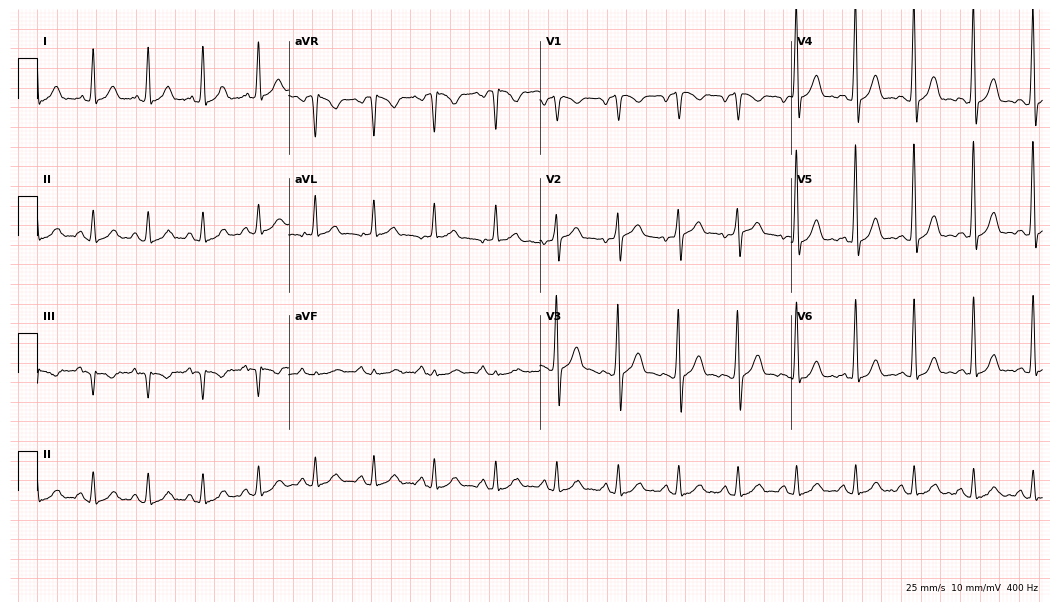
ECG (10.2-second recording at 400 Hz) — a male patient, 38 years old. Labelled as a normal ECG.